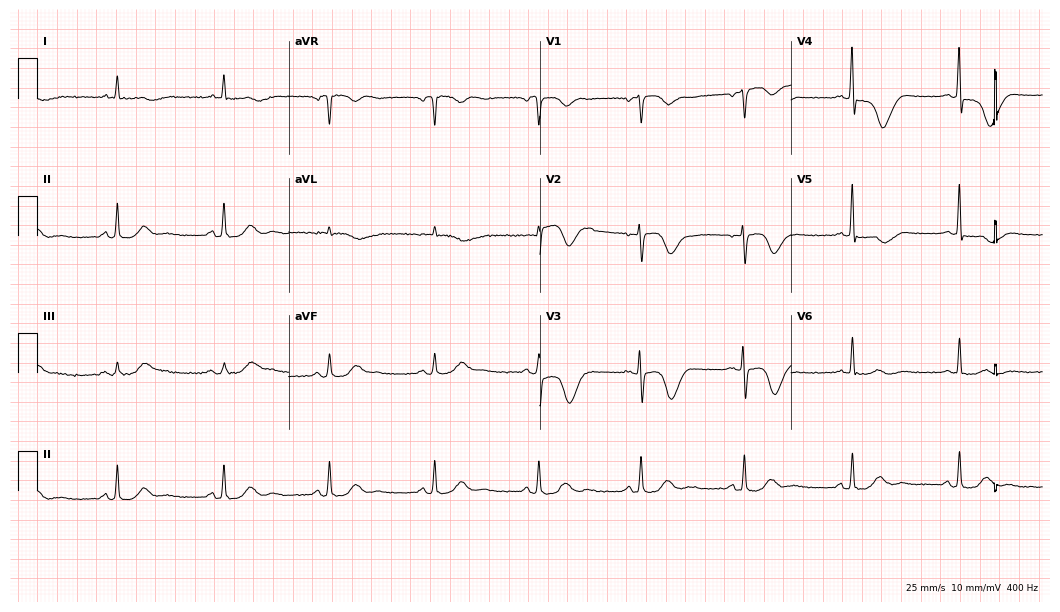
Standard 12-lead ECG recorded from a 74-year-old female. None of these six findings is recorded: first-degree AV block, right bundle branch block, left bundle branch block, sinus bradycardia, atrial fibrillation, sinus tachycardia.